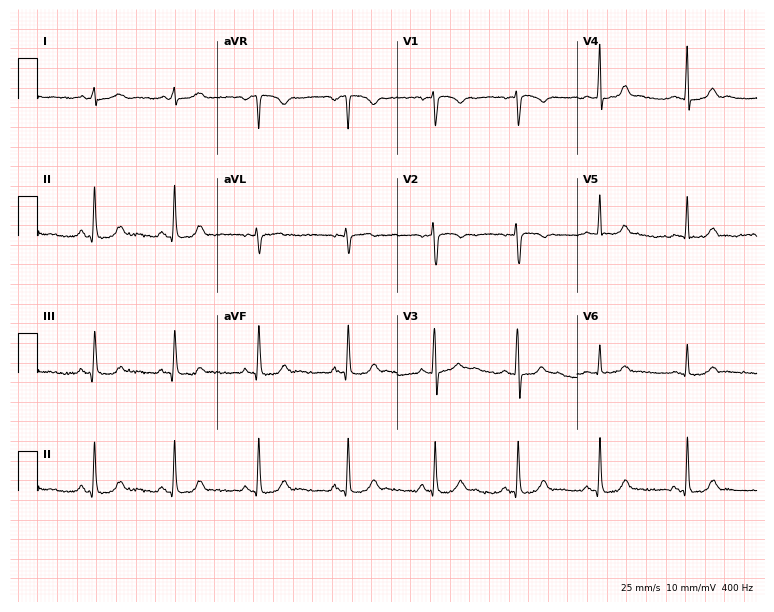
Standard 12-lead ECG recorded from an 18-year-old female patient. Read as a normal ECG.